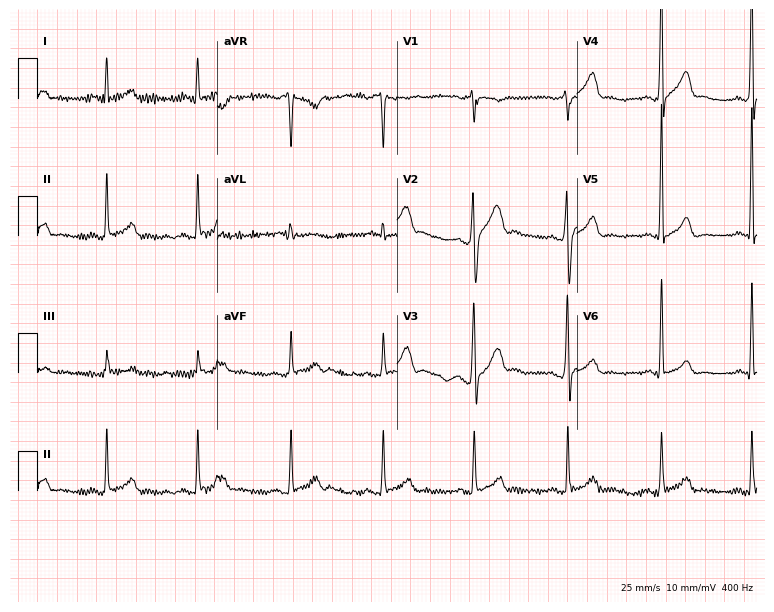
ECG — a 25-year-old male. Labelled as a normal ECG.